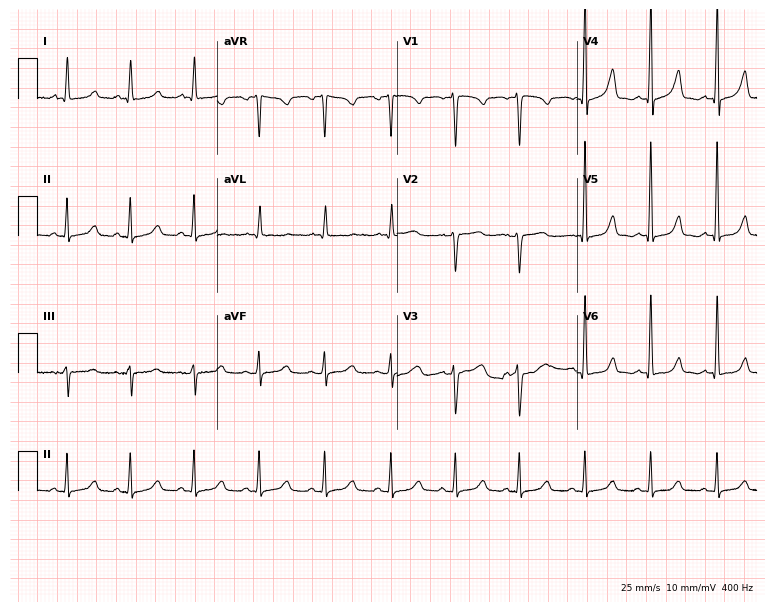
Electrocardiogram, a female, 51 years old. Of the six screened findings (first-degree AV block, right bundle branch block (RBBB), left bundle branch block (LBBB), sinus bradycardia, atrial fibrillation (AF), sinus tachycardia), none is recorded.